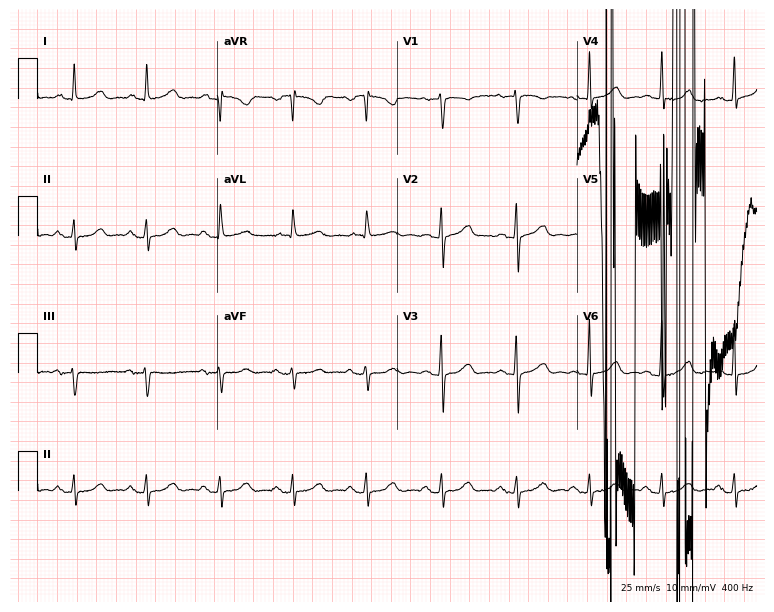
12-lead ECG from a 67-year-old female patient. No first-degree AV block, right bundle branch block (RBBB), left bundle branch block (LBBB), sinus bradycardia, atrial fibrillation (AF) or sinus tachycardia recorded for this tracing.